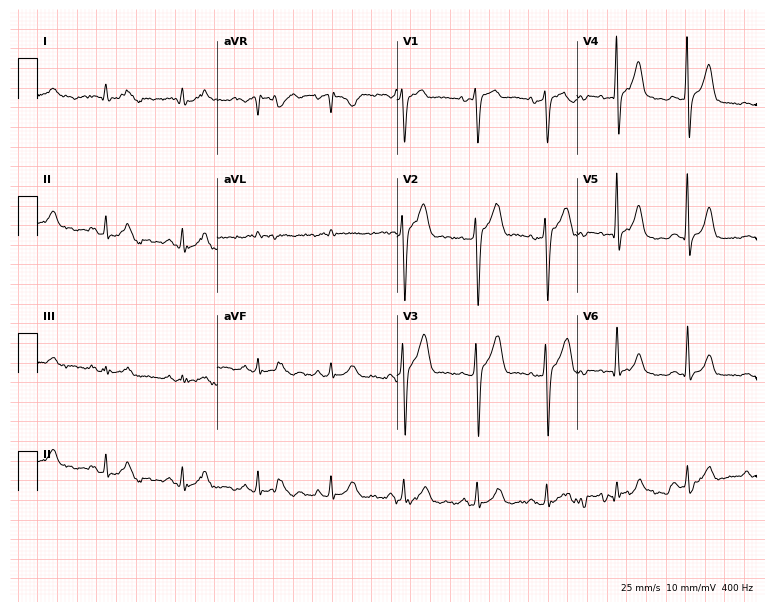
12-lead ECG from a 35-year-old male (7.3-second recording at 400 Hz). No first-degree AV block, right bundle branch block, left bundle branch block, sinus bradycardia, atrial fibrillation or sinus tachycardia recorded for this tracing.